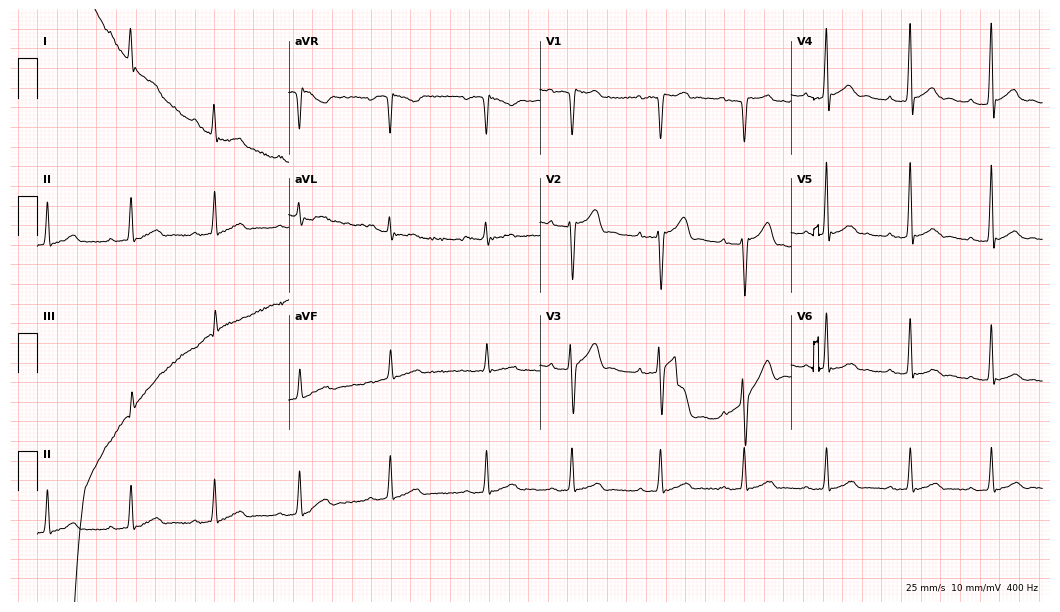
12-lead ECG from a male, 32 years old (10.2-second recording at 400 Hz). Shows first-degree AV block, atrial fibrillation.